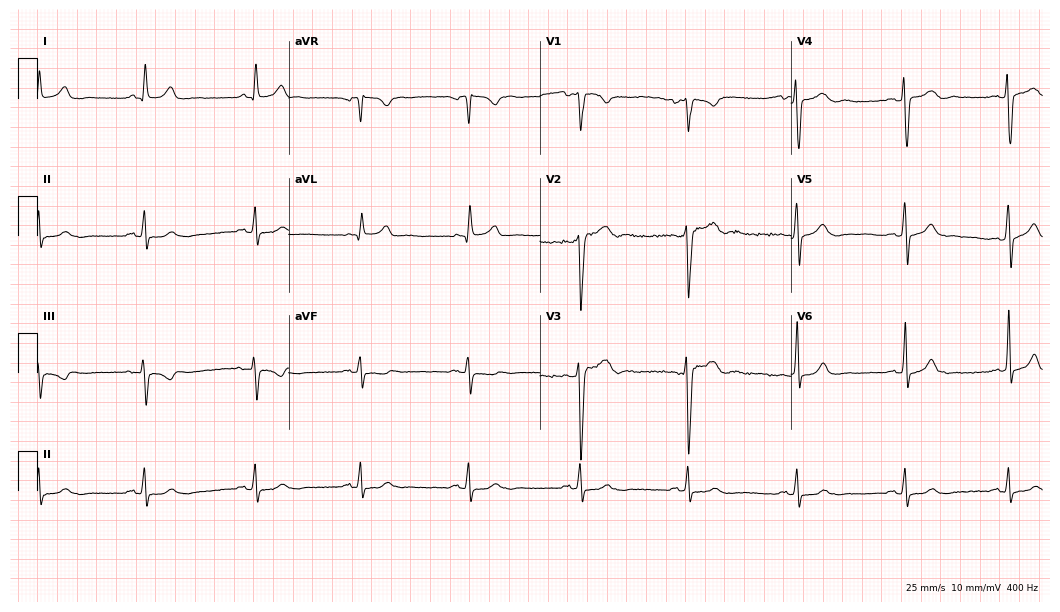
12-lead ECG from a 47-year-old man. Labelled as a normal ECG.